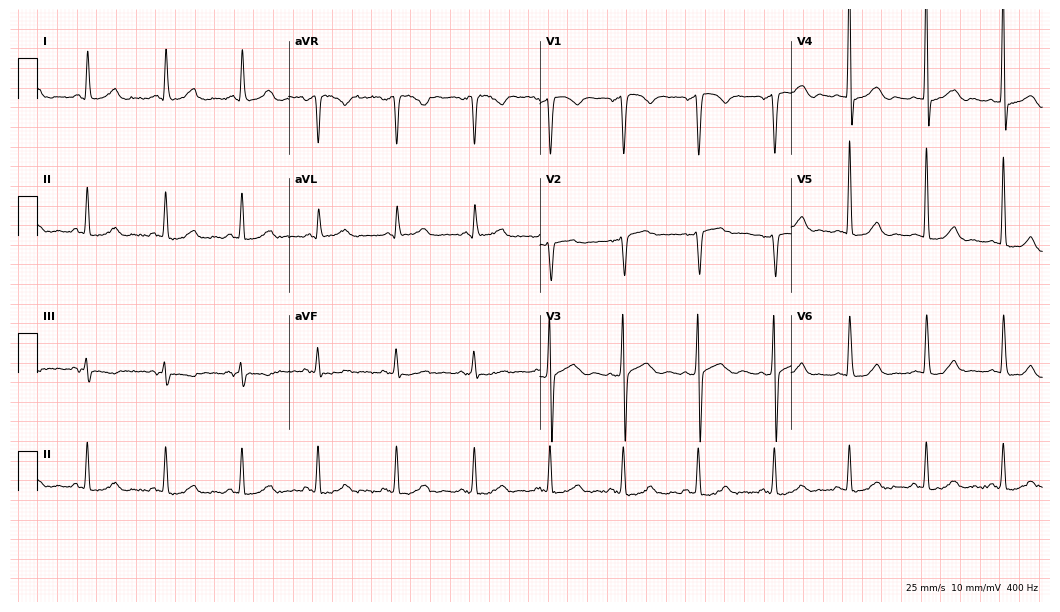
12-lead ECG from a male, 43 years old. Screened for six findings — first-degree AV block, right bundle branch block (RBBB), left bundle branch block (LBBB), sinus bradycardia, atrial fibrillation (AF), sinus tachycardia — none is recorded. Findings outside these six are not listed.